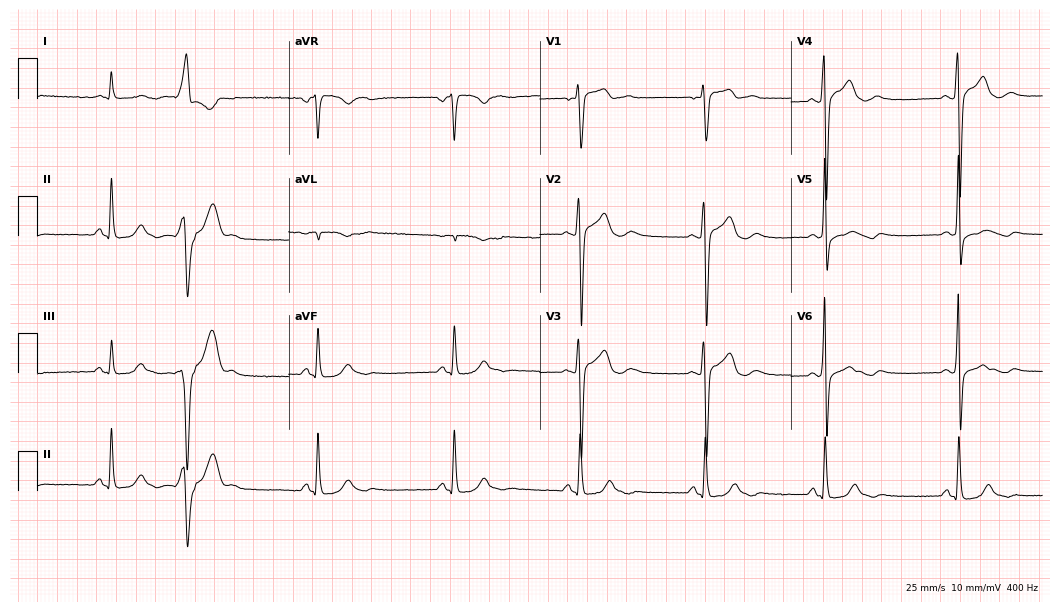
ECG (10.2-second recording at 400 Hz) — a male patient, 44 years old. Findings include sinus bradycardia (a sinus rate of 50 beats per minute or less).